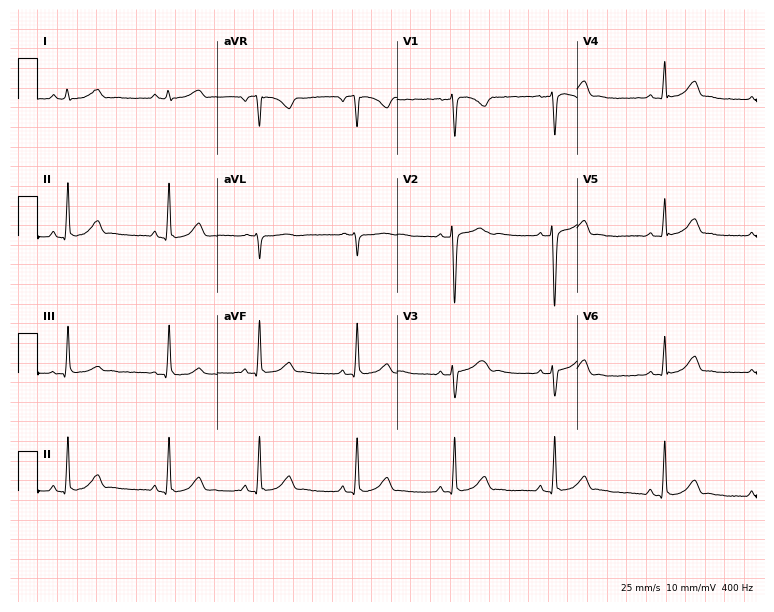
12-lead ECG from a 20-year-old female patient (7.3-second recording at 400 Hz). No first-degree AV block, right bundle branch block, left bundle branch block, sinus bradycardia, atrial fibrillation or sinus tachycardia recorded for this tracing. Findings outside these six are not listed.